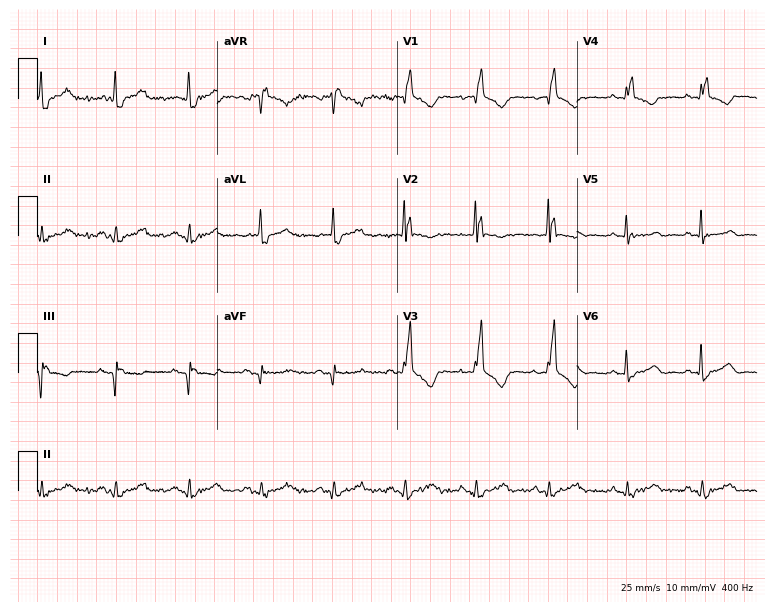
Standard 12-lead ECG recorded from a female patient, 78 years old. None of these six findings is recorded: first-degree AV block, right bundle branch block, left bundle branch block, sinus bradycardia, atrial fibrillation, sinus tachycardia.